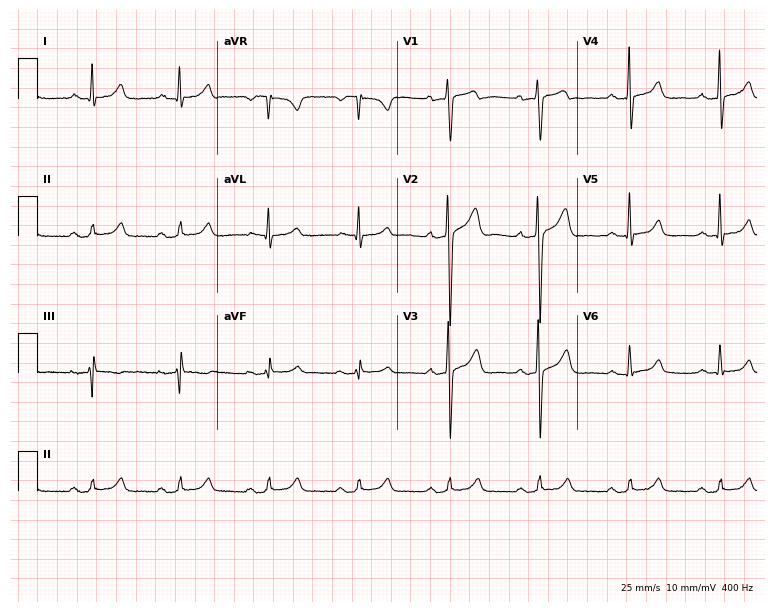
Resting 12-lead electrocardiogram. Patient: a male, 41 years old. None of these six findings is recorded: first-degree AV block, right bundle branch block (RBBB), left bundle branch block (LBBB), sinus bradycardia, atrial fibrillation (AF), sinus tachycardia. Other findings, if any, are not listed.